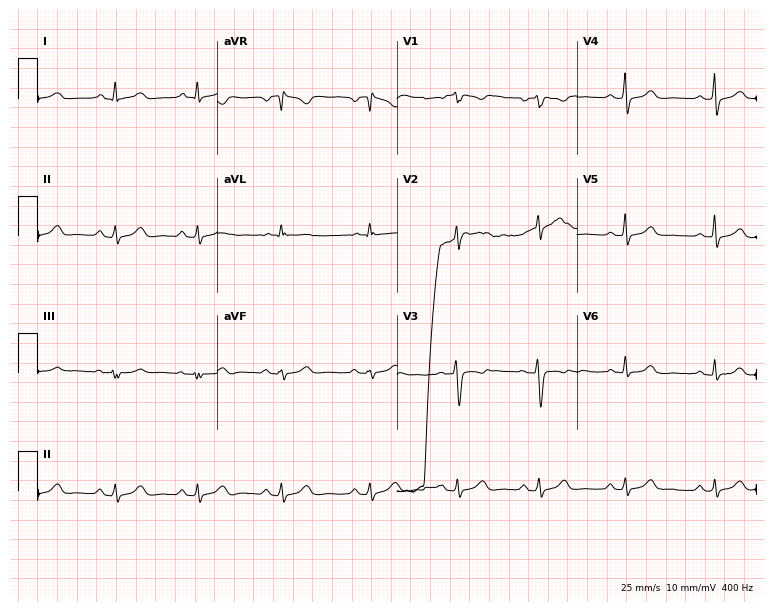
12-lead ECG from a 28-year-old woman. No first-degree AV block, right bundle branch block, left bundle branch block, sinus bradycardia, atrial fibrillation or sinus tachycardia recorded for this tracing.